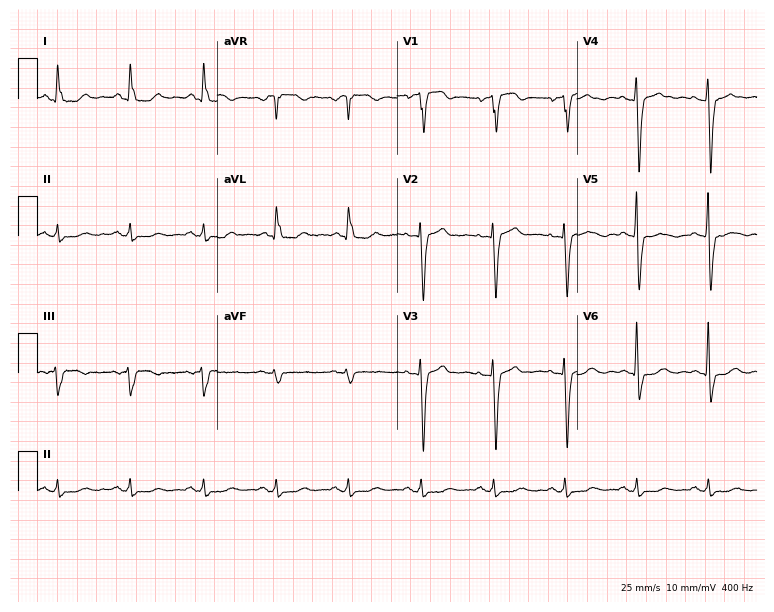
Resting 12-lead electrocardiogram. Patient: a female, 62 years old. None of these six findings is recorded: first-degree AV block, right bundle branch block, left bundle branch block, sinus bradycardia, atrial fibrillation, sinus tachycardia. Only these six findings were labelled.